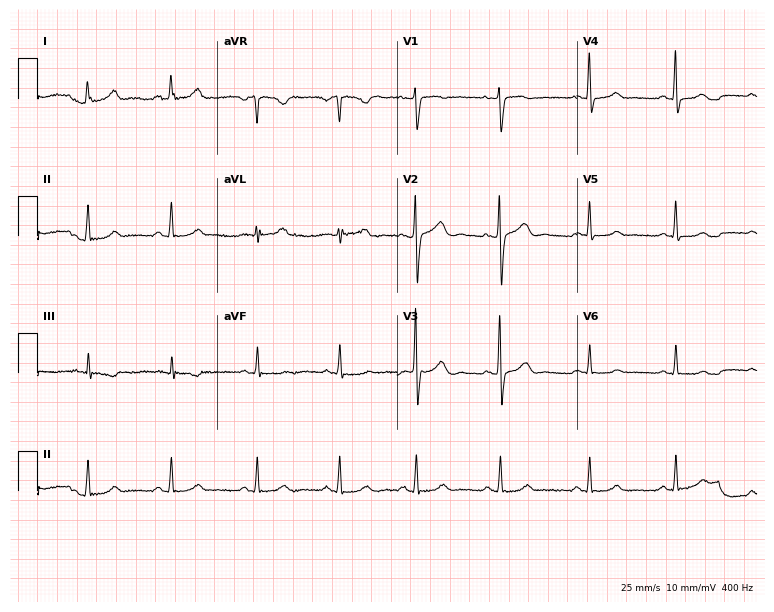
ECG (7.3-second recording at 400 Hz) — a 42-year-old woman. Labelled as a normal ECG.